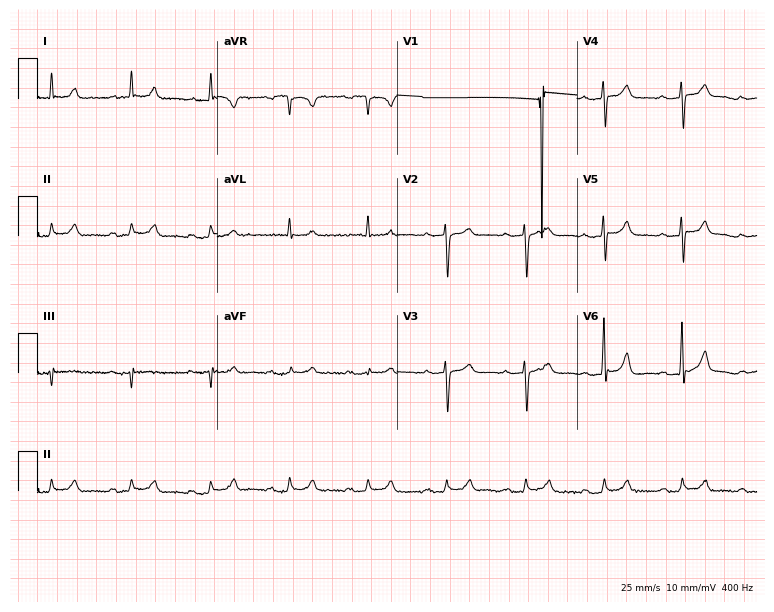
Resting 12-lead electrocardiogram (7.3-second recording at 400 Hz). Patient: a male, 76 years old. None of these six findings is recorded: first-degree AV block, right bundle branch block, left bundle branch block, sinus bradycardia, atrial fibrillation, sinus tachycardia. Other findings, if any, are not listed.